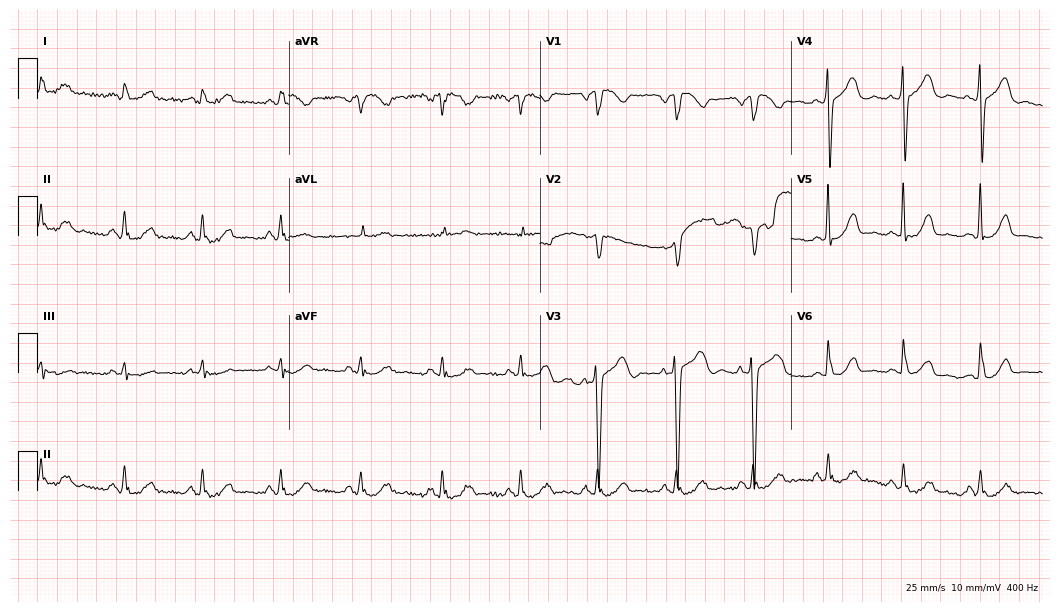
12-lead ECG (10.2-second recording at 400 Hz) from a 61-year-old male. Screened for six findings — first-degree AV block, right bundle branch block, left bundle branch block, sinus bradycardia, atrial fibrillation, sinus tachycardia — none is recorded. Other findings, if any, are not listed.